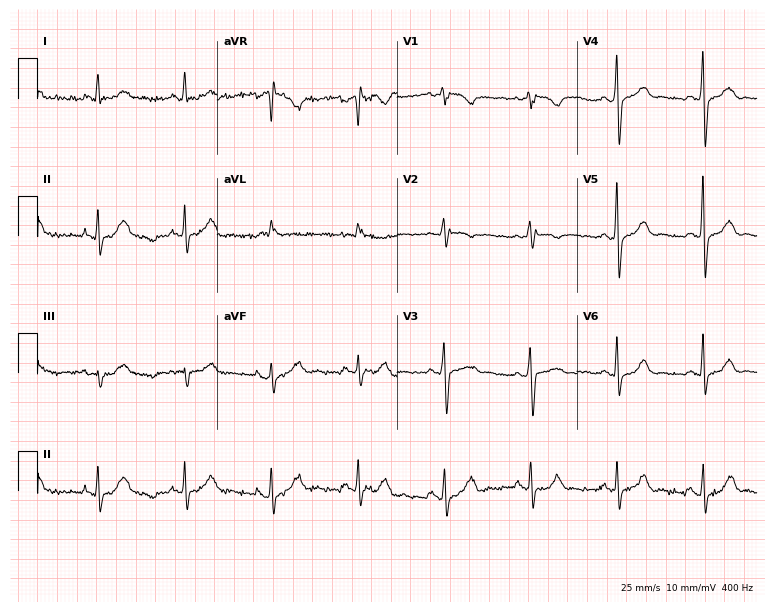
ECG — a female, 65 years old. Screened for six findings — first-degree AV block, right bundle branch block (RBBB), left bundle branch block (LBBB), sinus bradycardia, atrial fibrillation (AF), sinus tachycardia — none is recorded. Other findings, if any, are not listed.